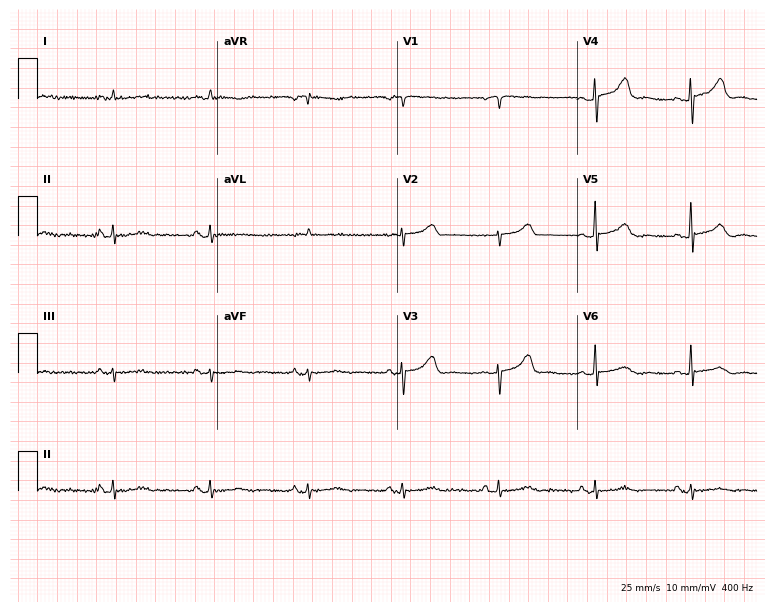
Resting 12-lead electrocardiogram. Patient: a female, 51 years old. None of these six findings is recorded: first-degree AV block, right bundle branch block, left bundle branch block, sinus bradycardia, atrial fibrillation, sinus tachycardia. Other findings, if any, are not listed.